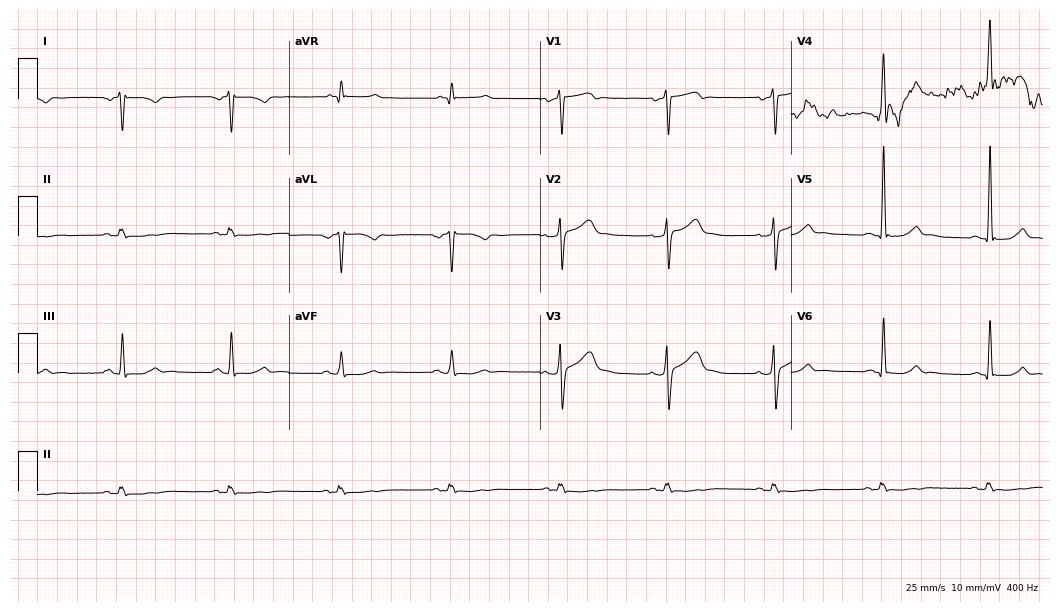
ECG (10.2-second recording at 400 Hz) — a 47-year-old male. Screened for six findings — first-degree AV block, right bundle branch block, left bundle branch block, sinus bradycardia, atrial fibrillation, sinus tachycardia — none is recorded.